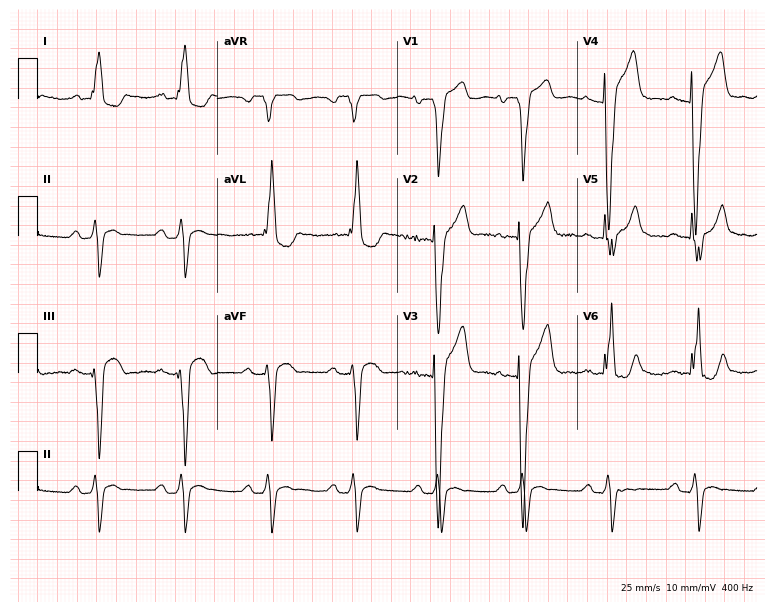
Resting 12-lead electrocardiogram (7.3-second recording at 400 Hz). Patient: a 63-year-old man. The tracing shows first-degree AV block, left bundle branch block.